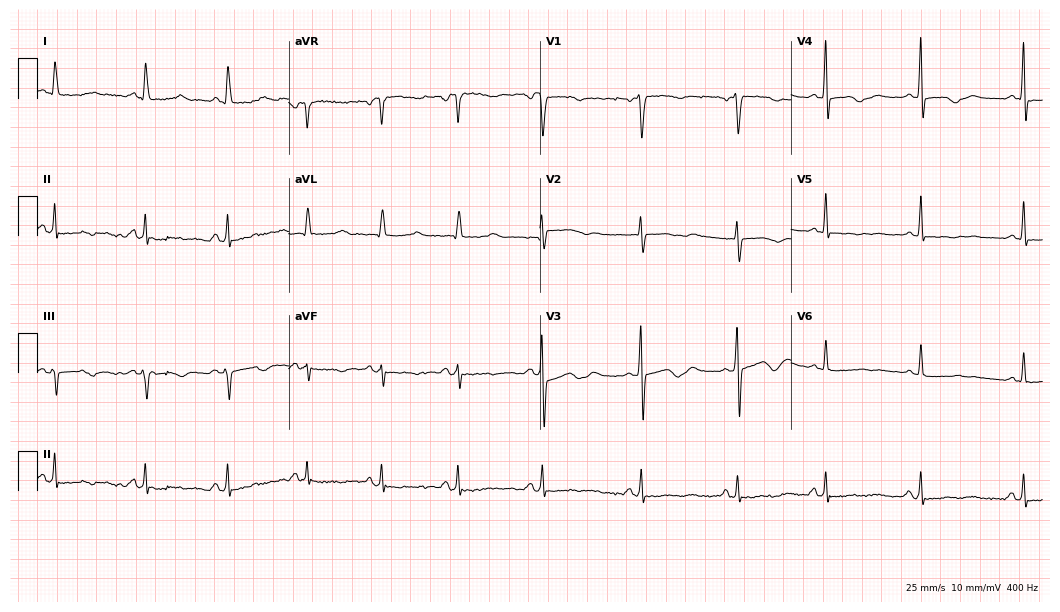
Resting 12-lead electrocardiogram. Patient: a 49-year-old woman. None of these six findings is recorded: first-degree AV block, right bundle branch block, left bundle branch block, sinus bradycardia, atrial fibrillation, sinus tachycardia.